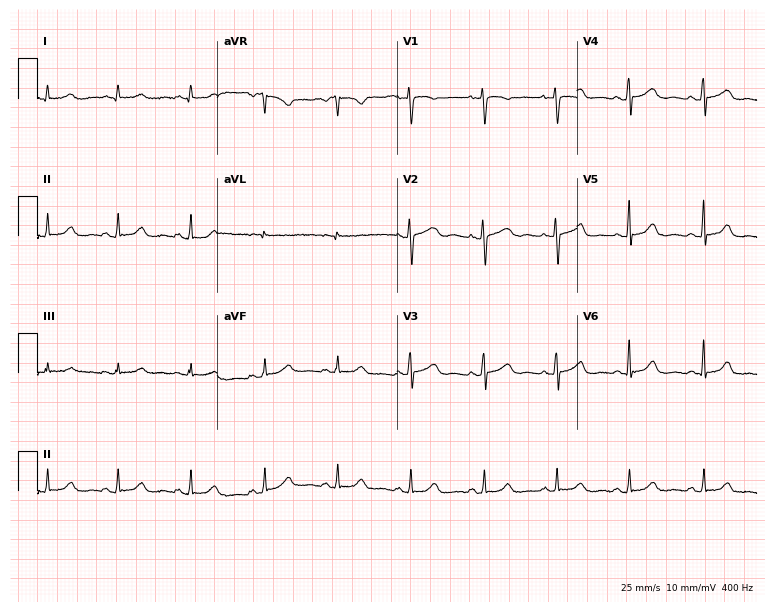
Standard 12-lead ECG recorded from a 45-year-old female (7.3-second recording at 400 Hz). None of these six findings is recorded: first-degree AV block, right bundle branch block, left bundle branch block, sinus bradycardia, atrial fibrillation, sinus tachycardia.